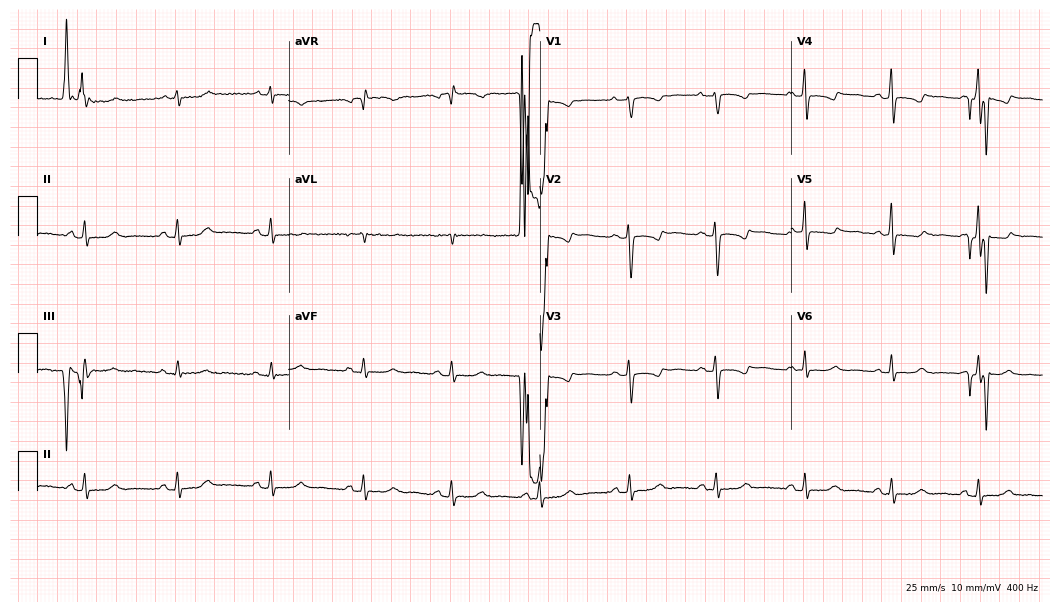
Electrocardiogram (10.2-second recording at 400 Hz), a 51-year-old woman. Of the six screened findings (first-degree AV block, right bundle branch block (RBBB), left bundle branch block (LBBB), sinus bradycardia, atrial fibrillation (AF), sinus tachycardia), none is recorded. Other findings, if any, are not listed.